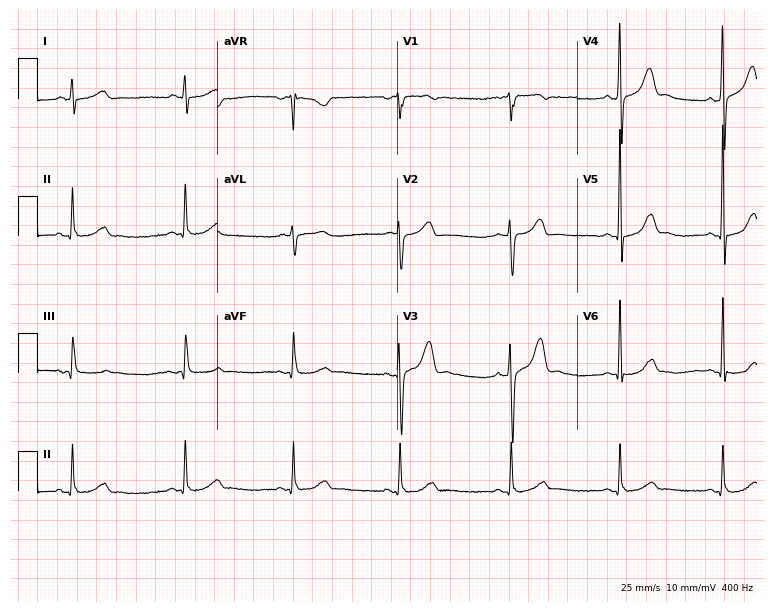
Standard 12-lead ECG recorded from a man, 31 years old (7.3-second recording at 400 Hz). None of these six findings is recorded: first-degree AV block, right bundle branch block, left bundle branch block, sinus bradycardia, atrial fibrillation, sinus tachycardia. Other findings, if any, are not listed.